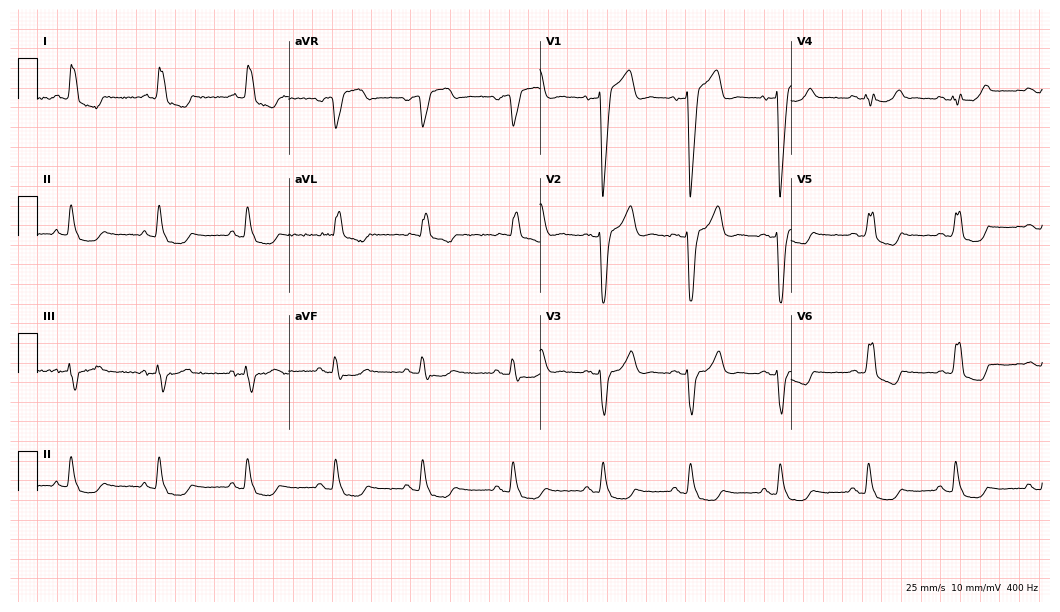
ECG (10.2-second recording at 400 Hz) — a female patient, 55 years old. Findings include left bundle branch block (LBBB).